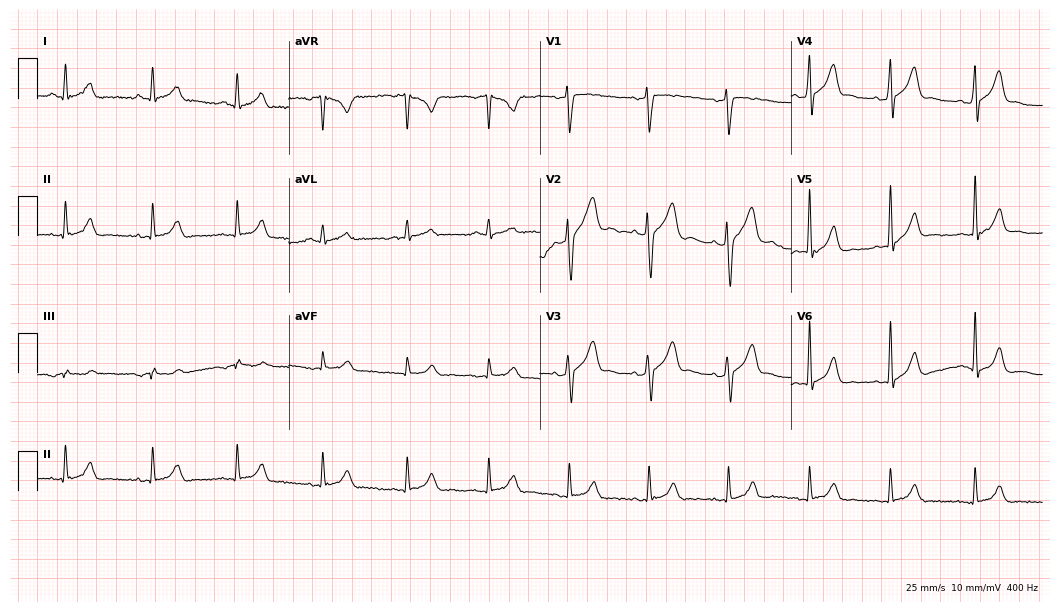
Resting 12-lead electrocardiogram (10.2-second recording at 400 Hz). Patient: a male, 42 years old. Read as a normal ECG.